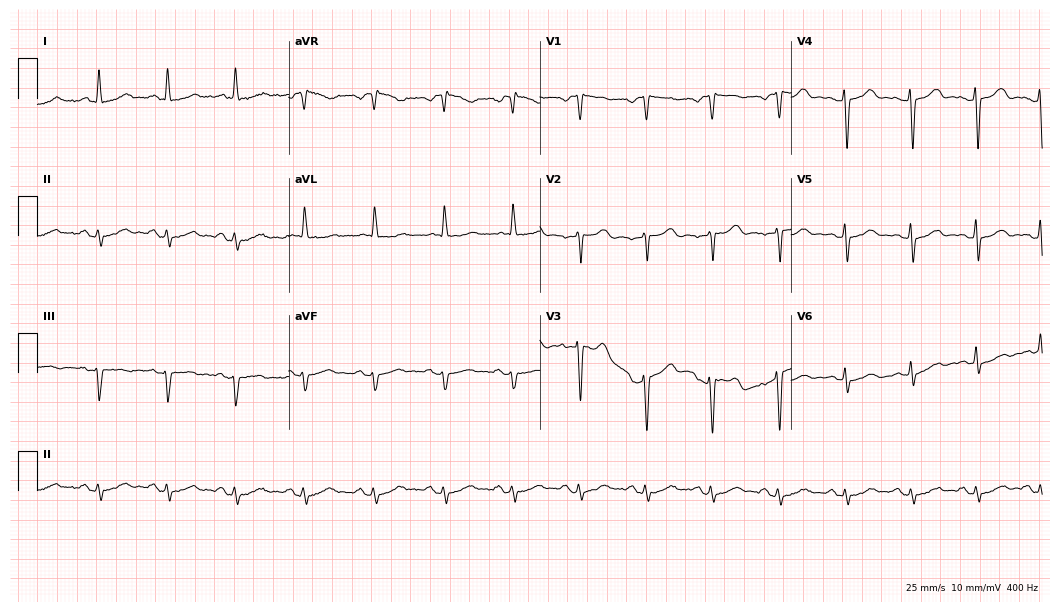
12-lead ECG (10.2-second recording at 400 Hz) from a 49-year-old female. Labelled as a normal ECG.